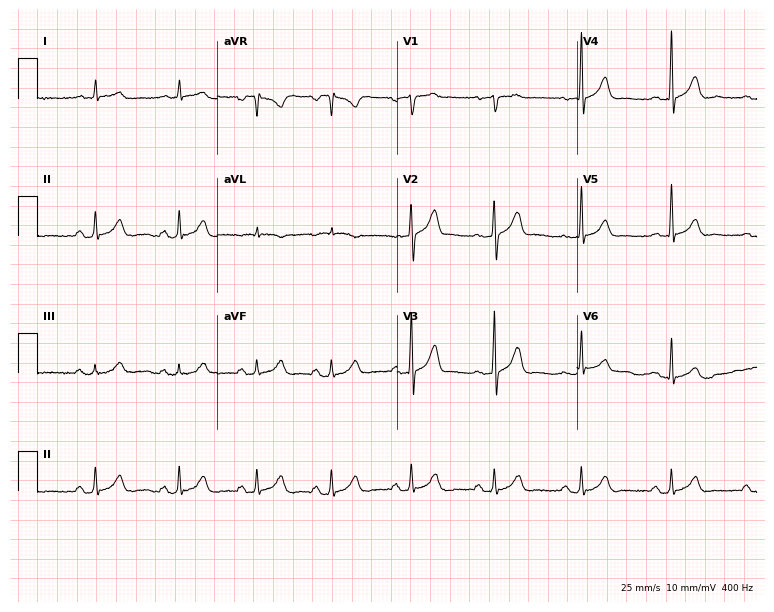
Standard 12-lead ECG recorded from a male, 66 years old. None of these six findings is recorded: first-degree AV block, right bundle branch block (RBBB), left bundle branch block (LBBB), sinus bradycardia, atrial fibrillation (AF), sinus tachycardia.